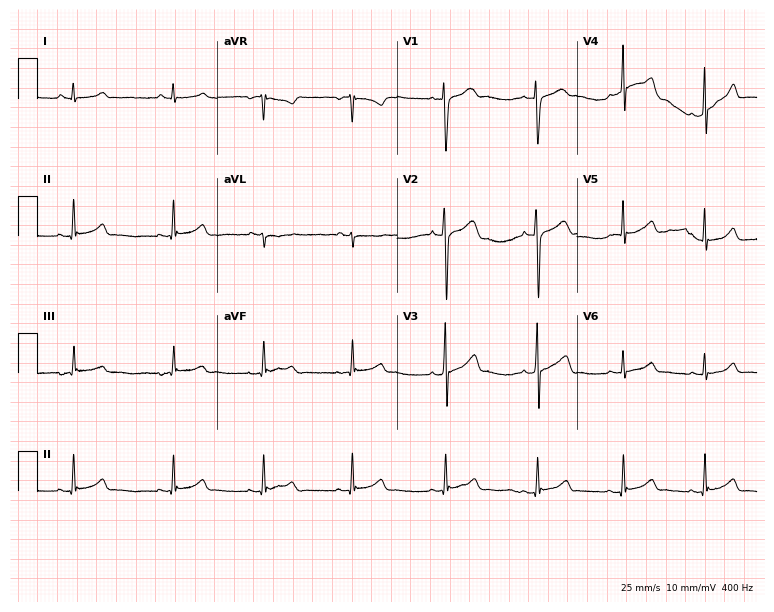
Standard 12-lead ECG recorded from a 24-year-old female (7.3-second recording at 400 Hz). None of these six findings is recorded: first-degree AV block, right bundle branch block, left bundle branch block, sinus bradycardia, atrial fibrillation, sinus tachycardia. Findings outside these six are not listed.